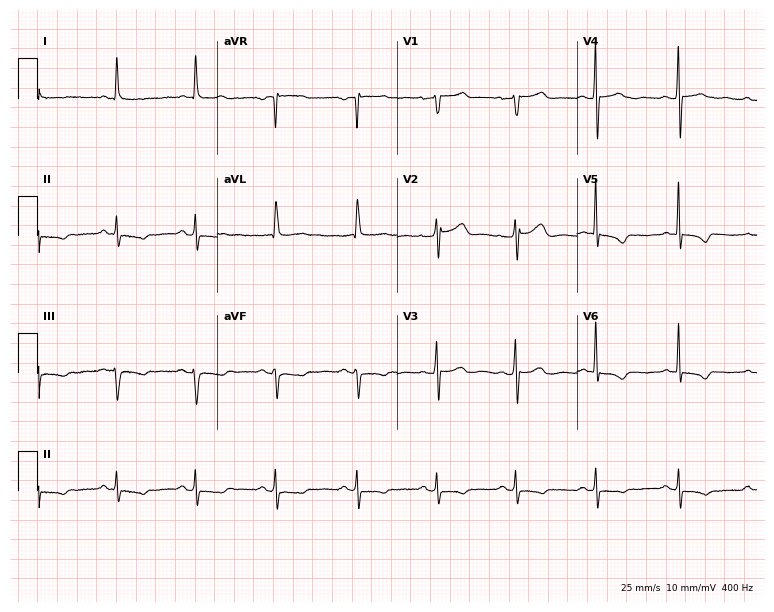
ECG (7.3-second recording at 400 Hz) — an 81-year-old female patient. Screened for six findings — first-degree AV block, right bundle branch block, left bundle branch block, sinus bradycardia, atrial fibrillation, sinus tachycardia — none is recorded.